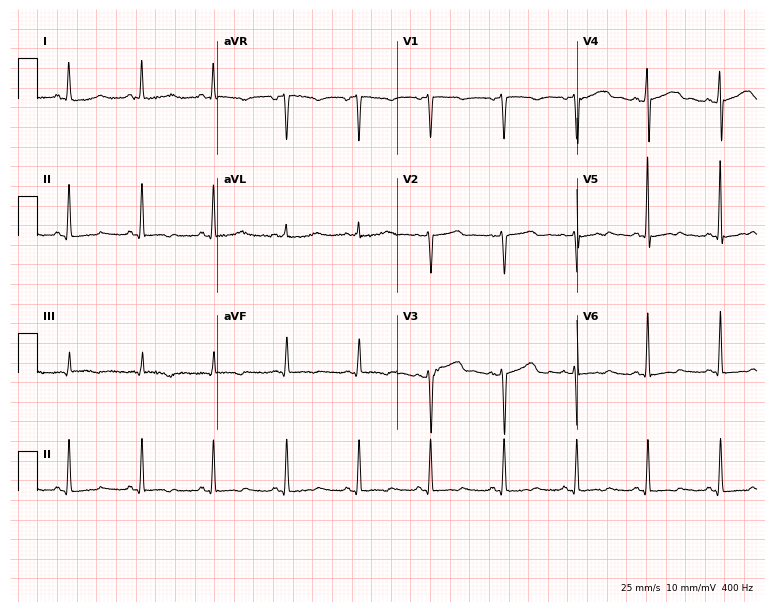
12-lead ECG (7.3-second recording at 400 Hz) from a 46-year-old female. Screened for six findings — first-degree AV block, right bundle branch block, left bundle branch block, sinus bradycardia, atrial fibrillation, sinus tachycardia — none is recorded. Findings outside these six are not listed.